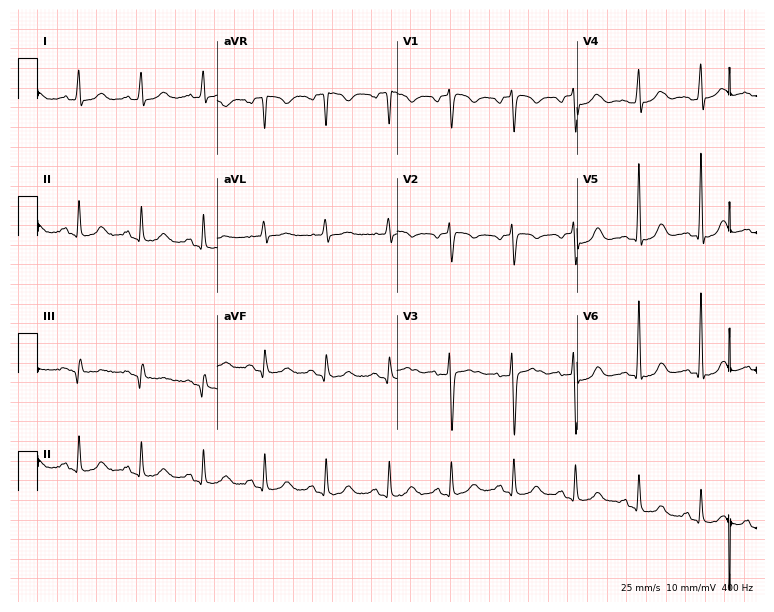
Electrocardiogram, a woman, 47 years old. Of the six screened findings (first-degree AV block, right bundle branch block (RBBB), left bundle branch block (LBBB), sinus bradycardia, atrial fibrillation (AF), sinus tachycardia), none is recorded. Findings outside these six are not listed.